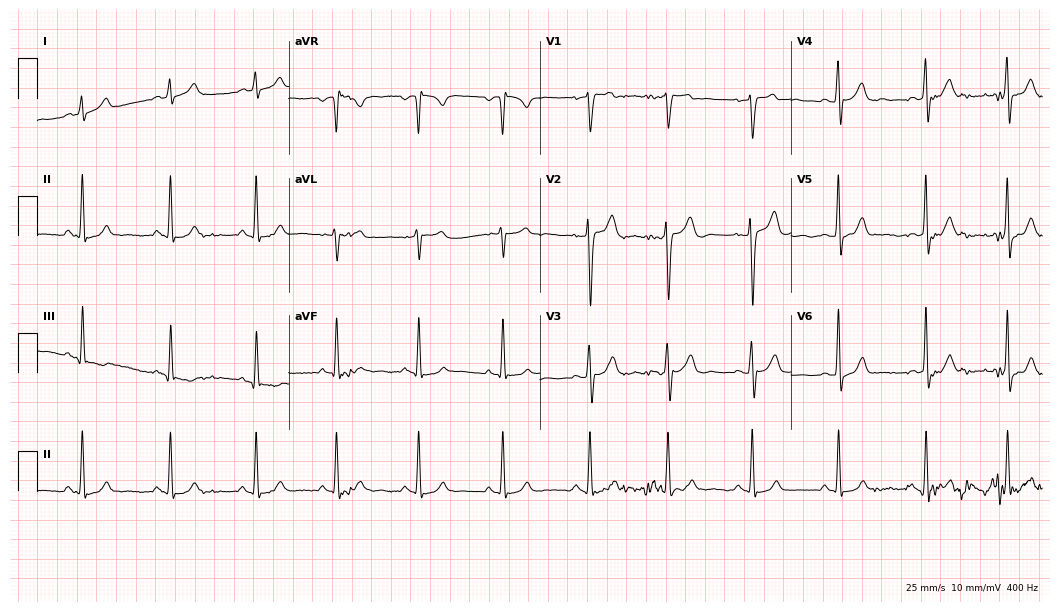
ECG (10.2-second recording at 400 Hz) — a male, 31 years old. Labelled as a normal ECG.